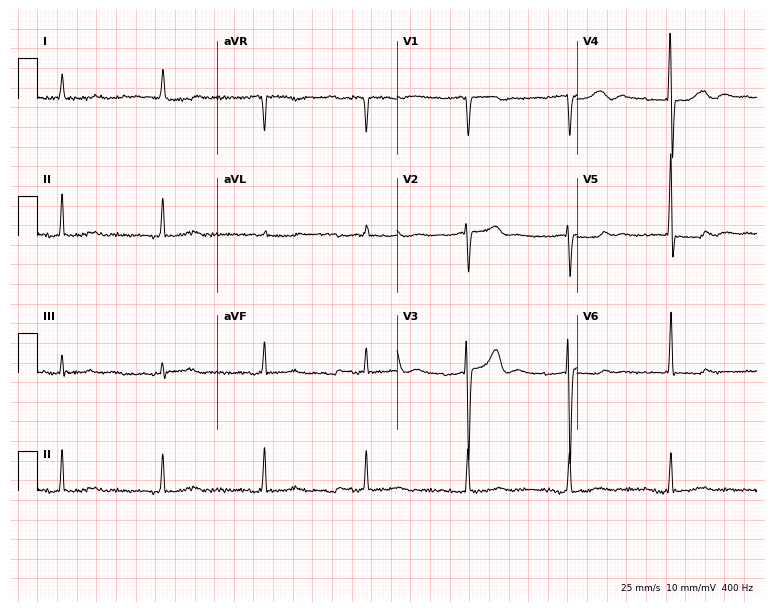
12-lead ECG from a male, 83 years old (7.3-second recording at 400 Hz). No first-degree AV block, right bundle branch block (RBBB), left bundle branch block (LBBB), sinus bradycardia, atrial fibrillation (AF) or sinus tachycardia recorded for this tracing. Other findings, if any, are not listed.